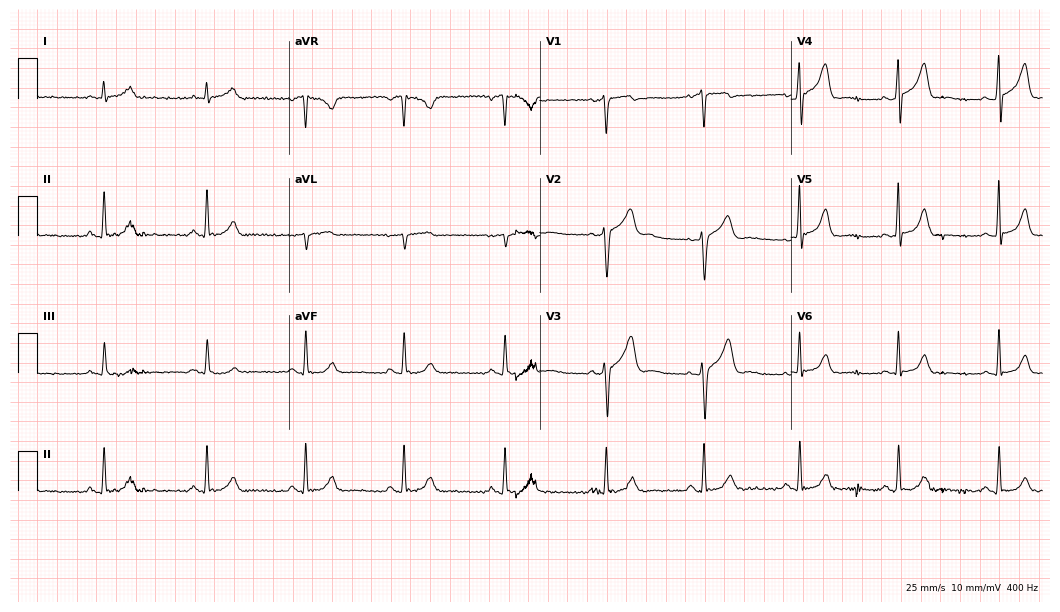
12-lead ECG (10.2-second recording at 400 Hz) from a 58-year-old man. Screened for six findings — first-degree AV block, right bundle branch block, left bundle branch block, sinus bradycardia, atrial fibrillation, sinus tachycardia — none is recorded. Only these six findings were labelled.